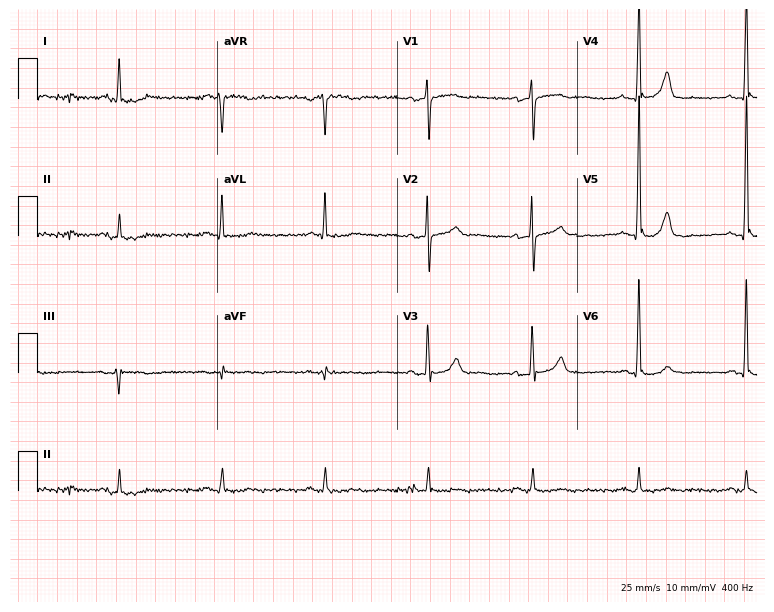
Resting 12-lead electrocardiogram (7.3-second recording at 400 Hz). Patient: a man, 64 years old. None of these six findings is recorded: first-degree AV block, right bundle branch block, left bundle branch block, sinus bradycardia, atrial fibrillation, sinus tachycardia. Other findings, if any, are not listed.